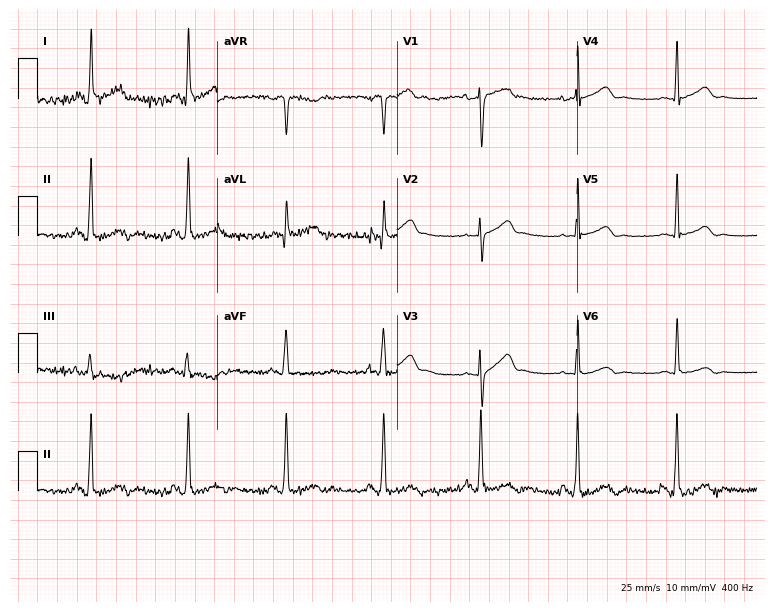
12-lead ECG from a 67-year-old man. Screened for six findings — first-degree AV block, right bundle branch block (RBBB), left bundle branch block (LBBB), sinus bradycardia, atrial fibrillation (AF), sinus tachycardia — none is recorded.